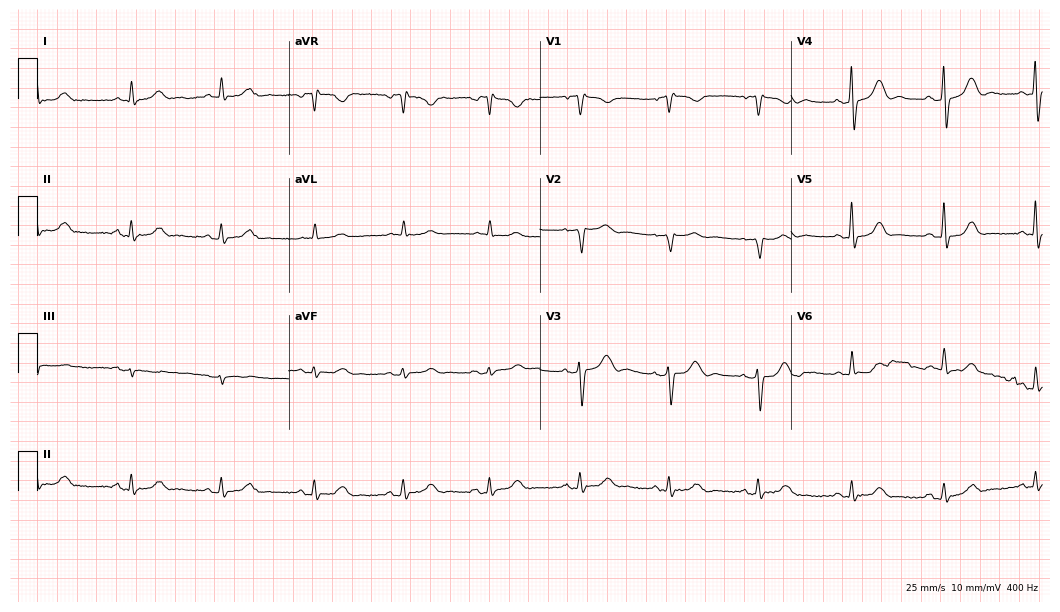
12-lead ECG (10.2-second recording at 400 Hz) from a woman, 80 years old. Screened for six findings — first-degree AV block, right bundle branch block, left bundle branch block, sinus bradycardia, atrial fibrillation, sinus tachycardia — none is recorded.